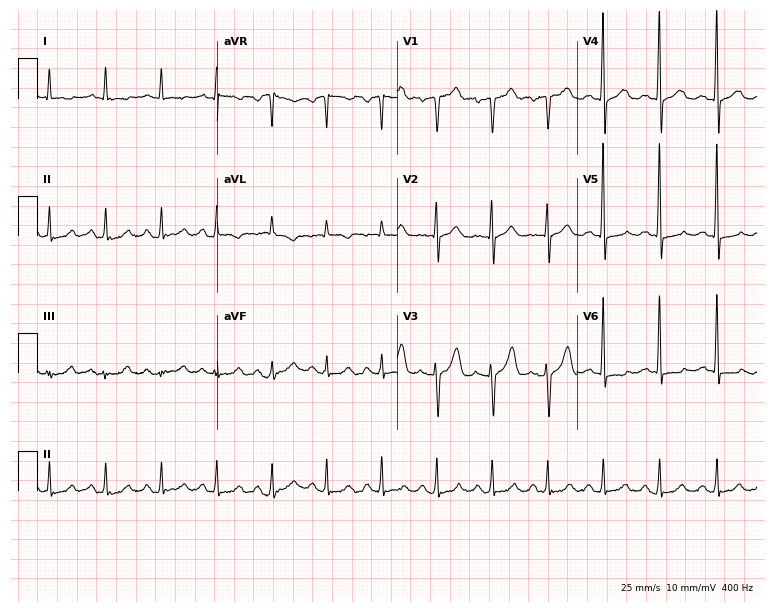
ECG — a man, 58 years old. Findings include sinus tachycardia (a sinus rate of 100 beats per minute or more).